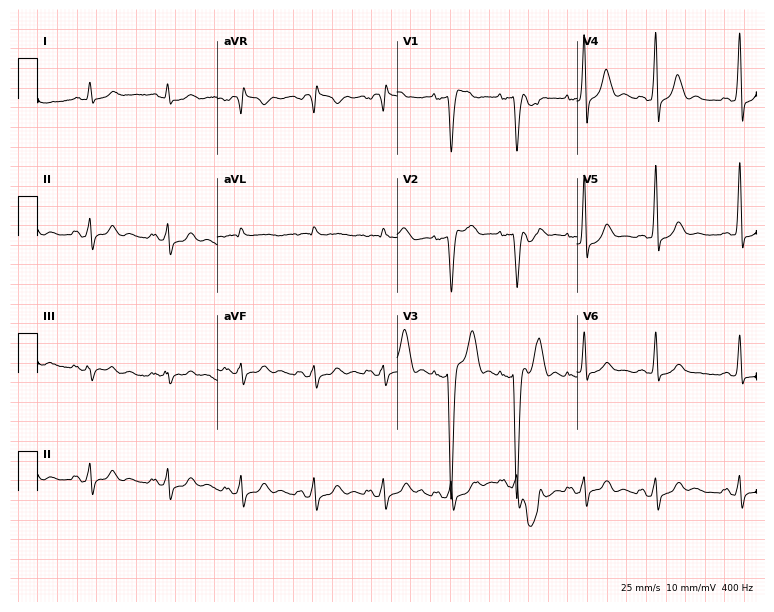
12-lead ECG from a man, 29 years old (7.3-second recording at 400 Hz). No first-degree AV block, right bundle branch block, left bundle branch block, sinus bradycardia, atrial fibrillation or sinus tachycardia recorded for this tracing. Findings outside these six are not listed.